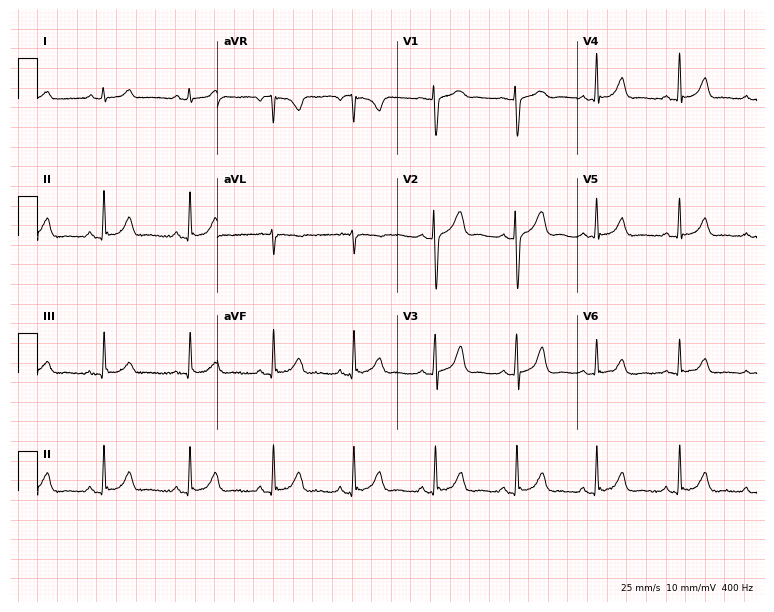
Standard 12-lead ECG recorded from a 27-year-old woman. Read as a normal ECG.